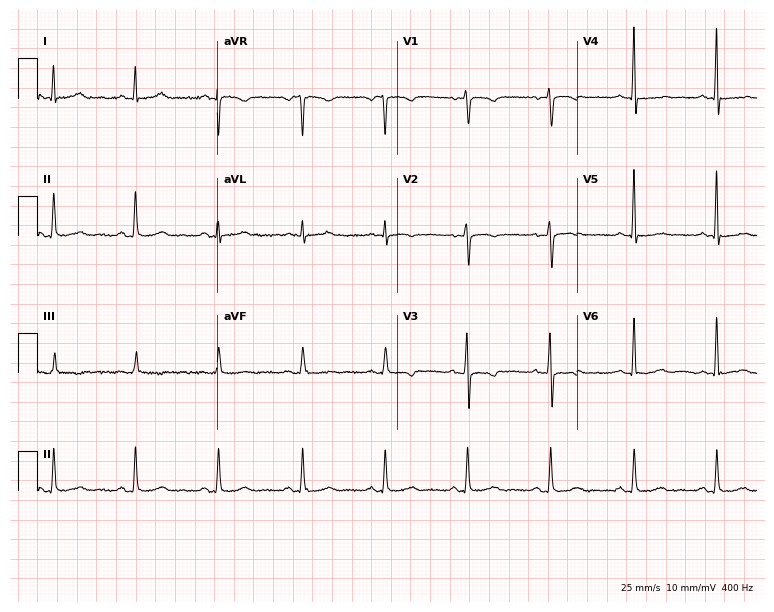
Electrocardiogram, a 55-year-old woman. Overall reading on record: normal ECG.